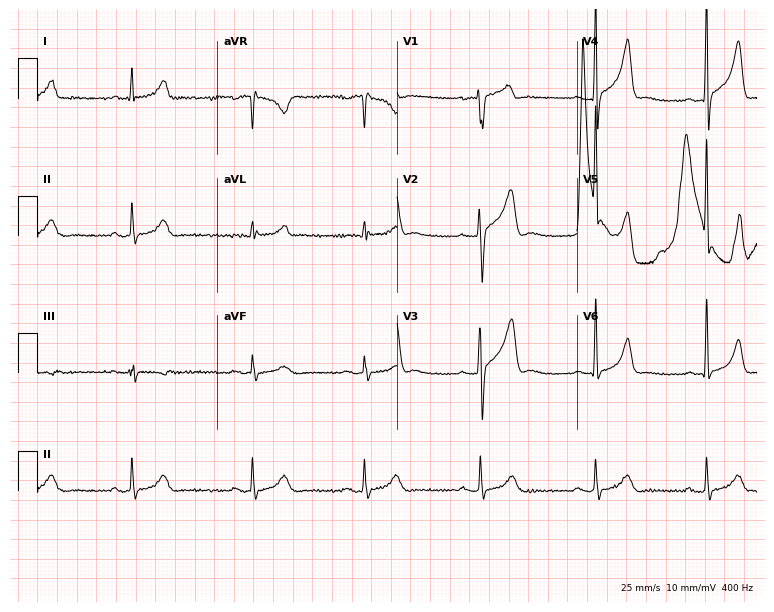
12-lead ECG from a man, 35 years old (7.3-second recording at 400 Hz). Recorded interpretation: within normal limits.